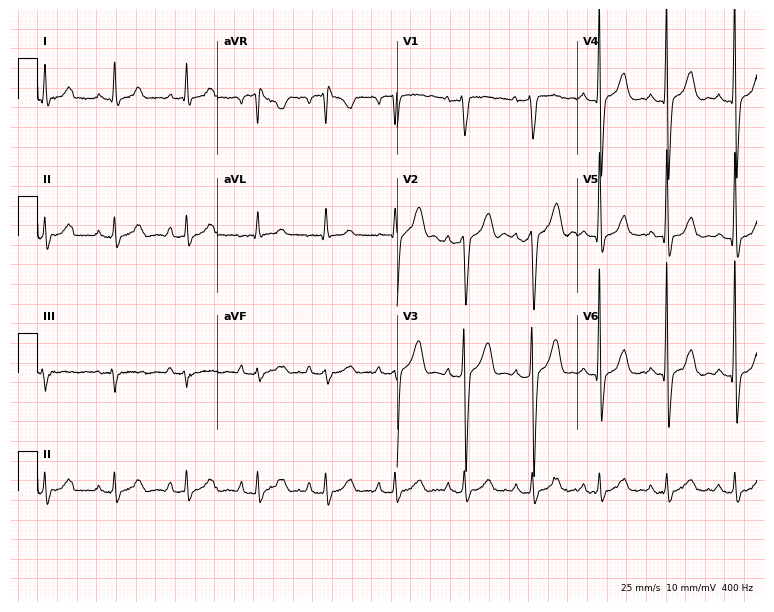
Standard 12-lead ECG recorded from a 49-year-old man. Read as a normal ECG.